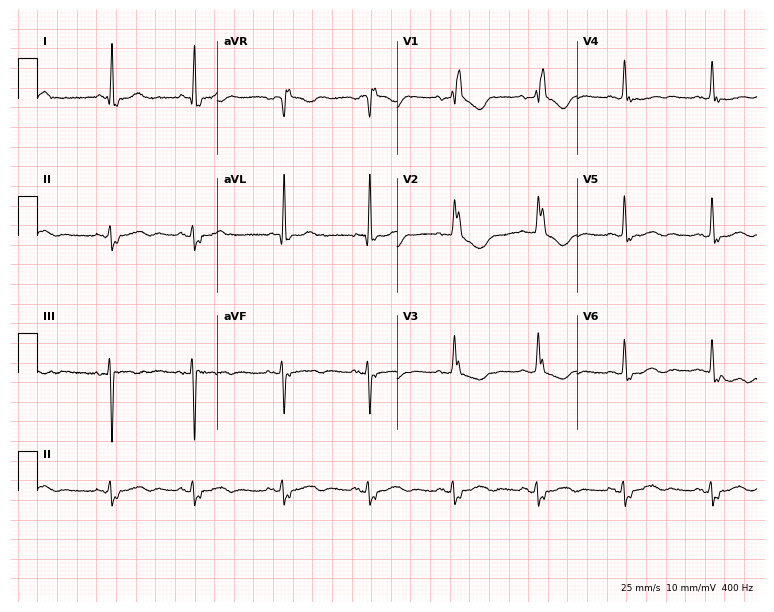
12-lead ECG from a woman, 85 years old (7.3-second recording at 400 Hz). Shows right bundle branch block.